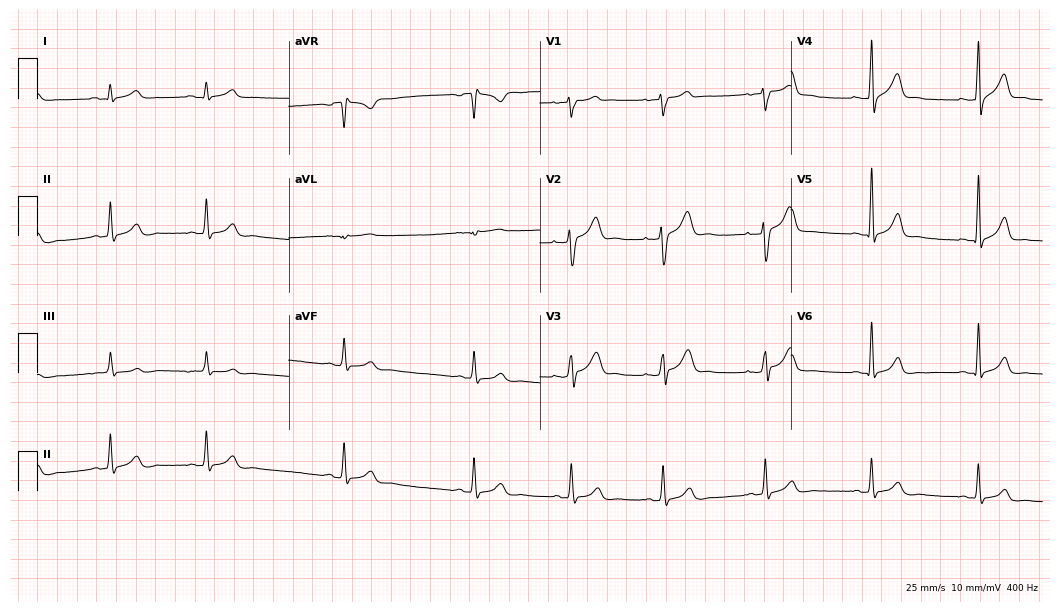
Resting 12-lead electrocardiogram (10.2-second recording at 400 Hz). Patient: a 24-year-old man. Read as a normal ECG.